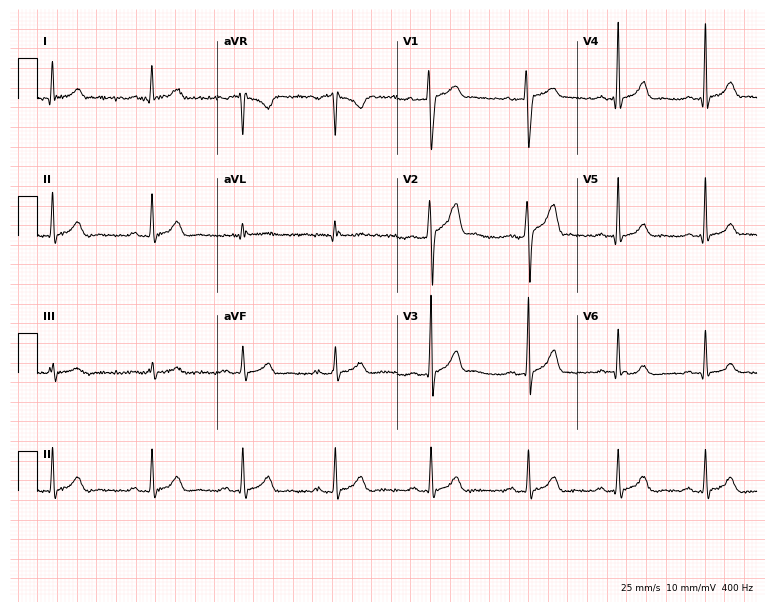
12-lead ECG (7.3-second recording at 400 Hz) from a male patient, 26 years old. Labelled as a normal ECG.